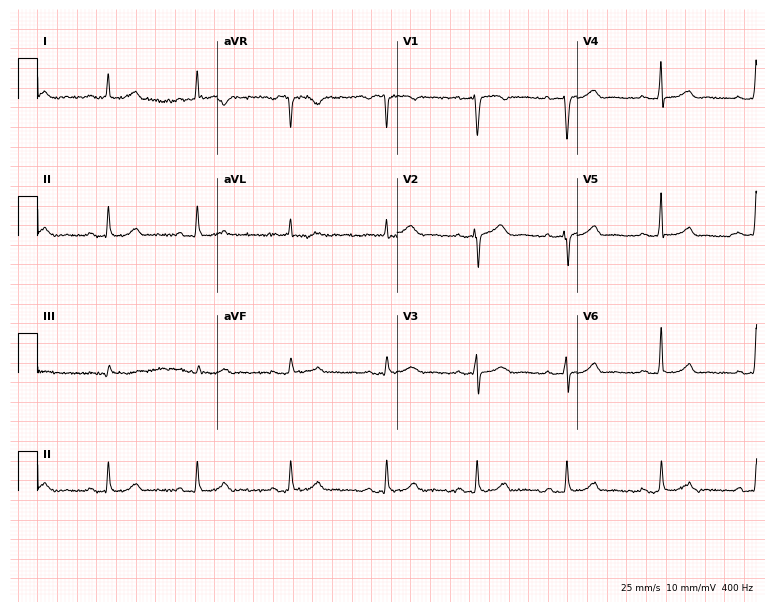
Standard 12-lead ECG recorded from a female patient, 48 years old (7.3-second recording at 400 Hz). Read as a normal ECG.